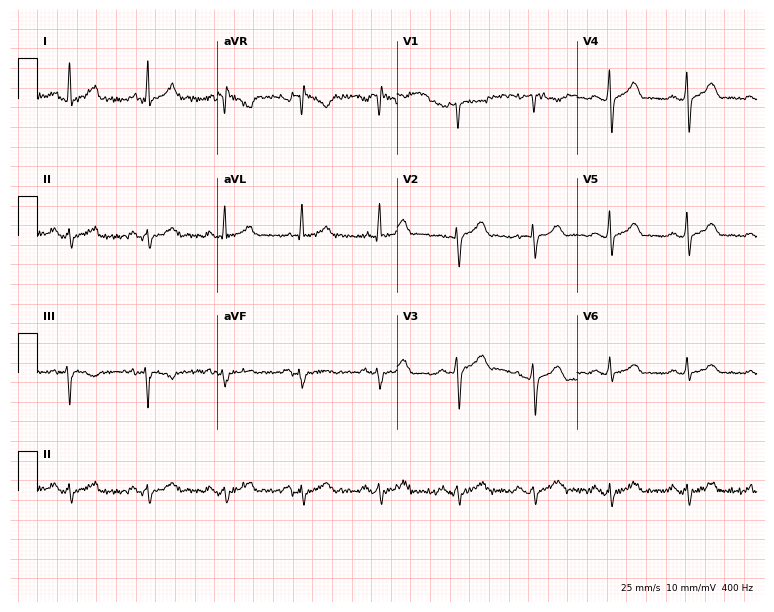
12-lead ECG from a 35-year-old man. Recorded interpretation: within normal limits.